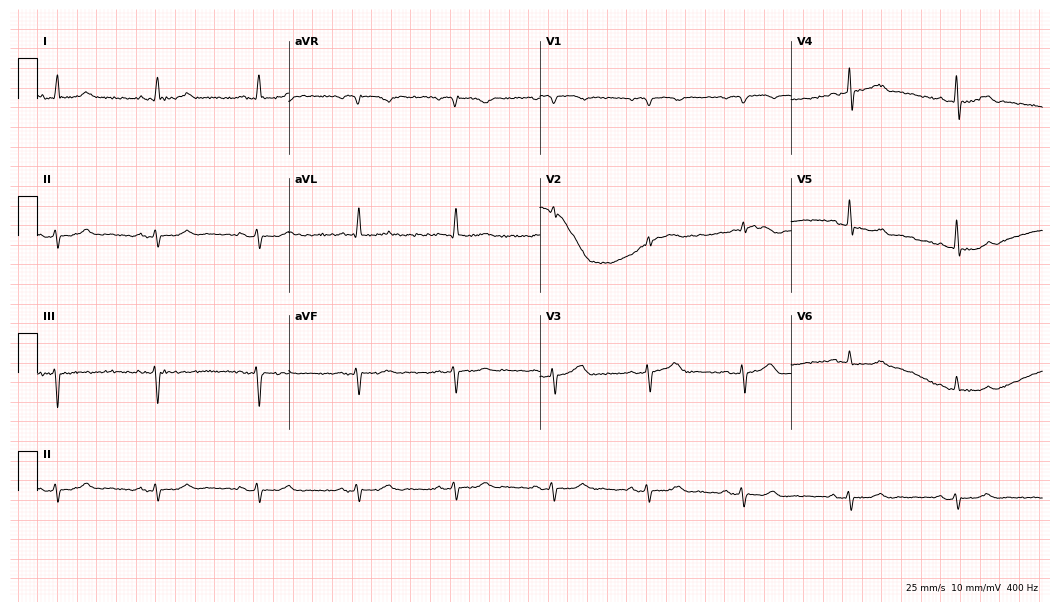
12-lead ECG from a male, 85 years old. No first-degree AV block, right bundle branch block, left bundle branch block, sinus bradycardia, atrial fibrillation or sinus tachycardia recorded for this tracing. Other findings, if any, are not listed.